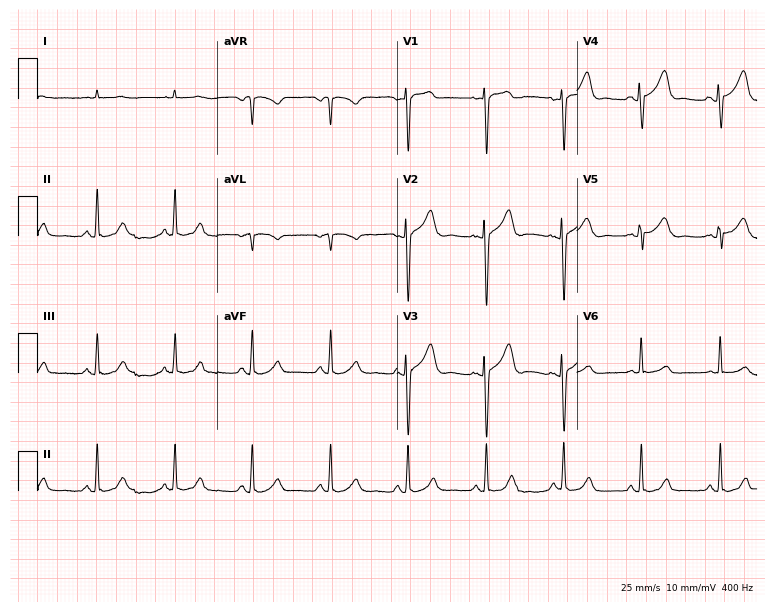
12-lead ECG from a 58-year-old man. No first-degree AV block, right bundle branch block, left bundle branch block, sinus bradycardia, atrial fibrillation or sinus tachycardia recorded for this tracing. Other findings, if any, are not listed.